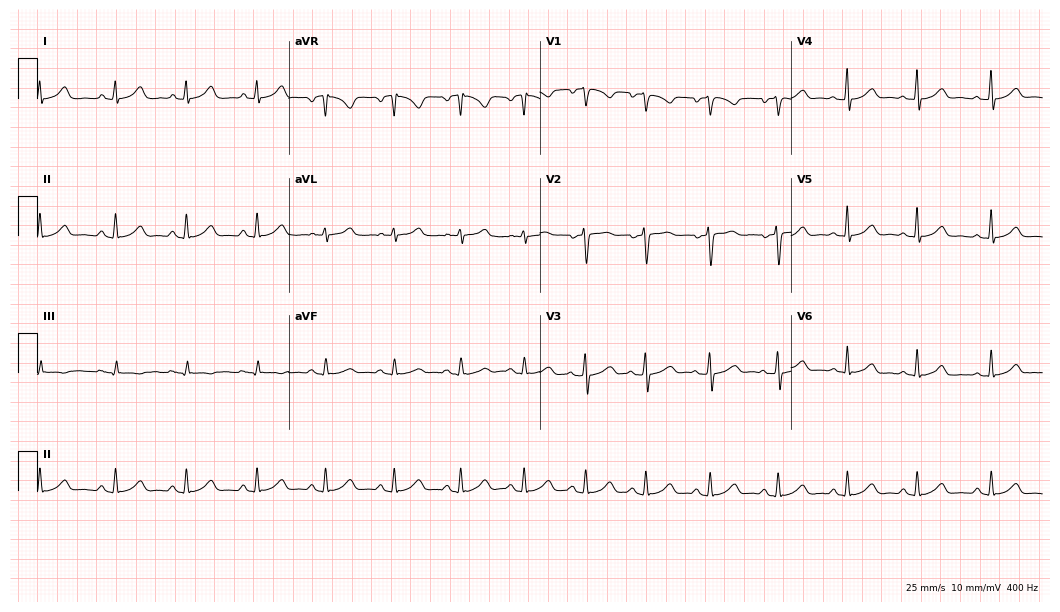
Standard 12-lead ECG recorded from a 39-year-old female patient (10.2-second recording at 400 Hz). Read as a normal ECG.